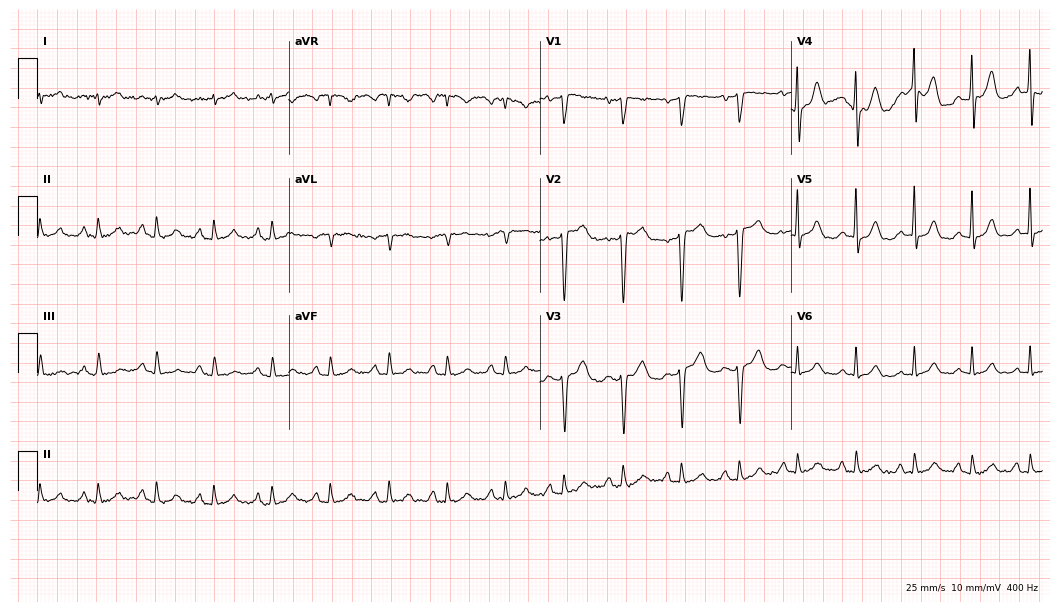
ECG (10.2-second recording at 400 Hz) — a female, 72 years old. Findings include sinus tachycardia (a sinus rate of 100 beats per minute or more).